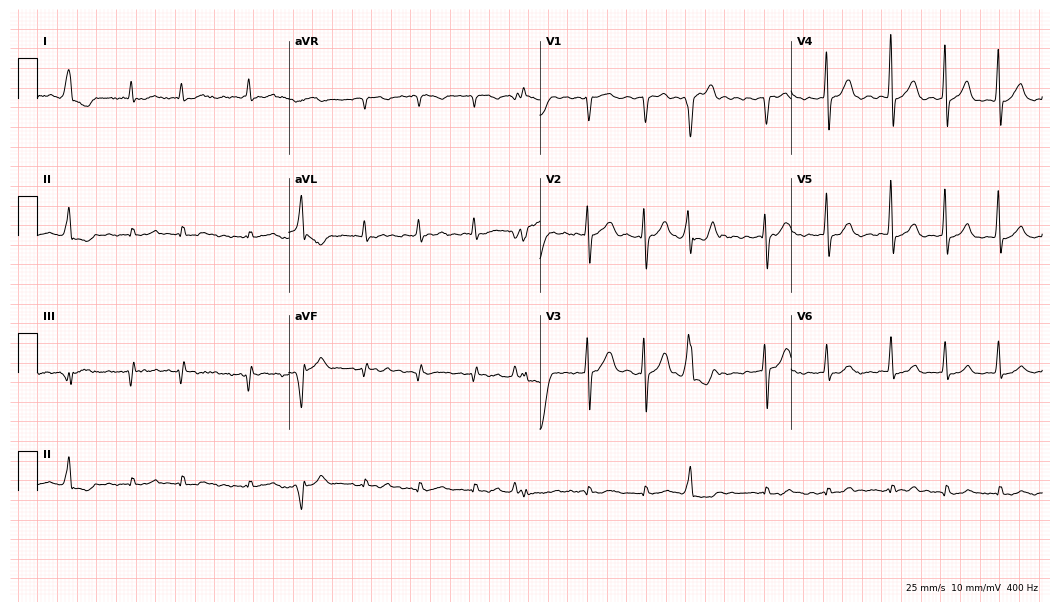
12-lead ECG from a man, 75 years old. Findings include atrial fibrillation.